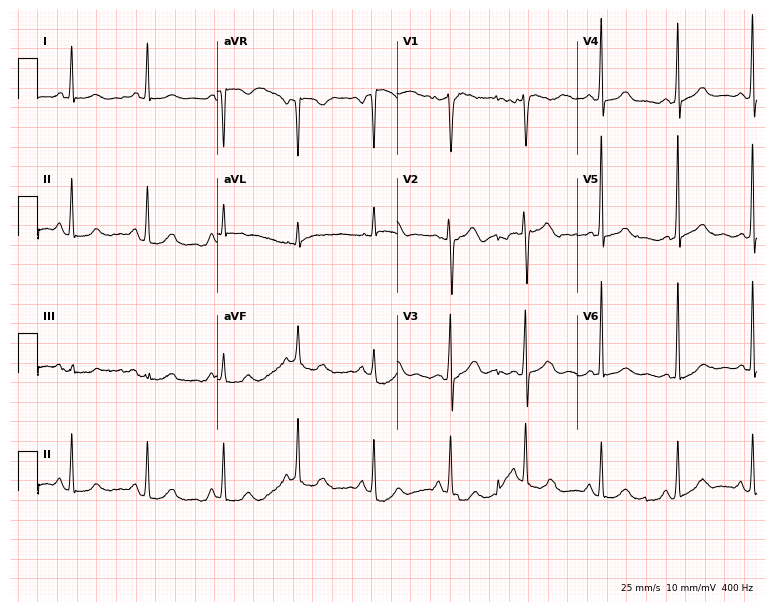
Standard 12-lead ECG recorded from a woman, 52 years old (7.3-second recording at 400 Hz). None of these six findings is recorded: first-degree AV block, right bundle branch block (RBBB), left bundle branch block (LBBB), sinus bradycardia, atrial fibrillation (AF), sinus tachycardia. Findings outside these six are not listed.